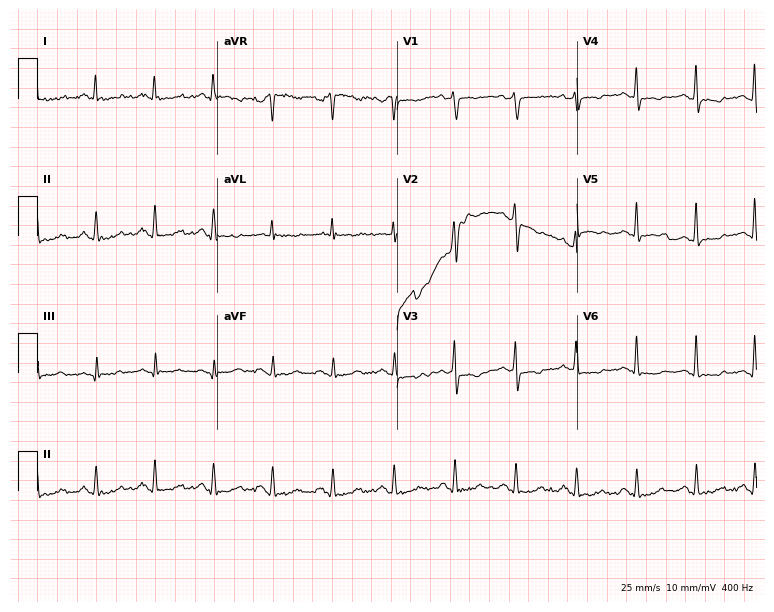
ECG — a male patient, 43 years old. Screened for six findings — first-degree AV block, right bundle branch block, left bundle branch block, sinus bradycardia, atrial fibrillation, sinus tachycardia — none is recorded. Findings outside these six are not listed.